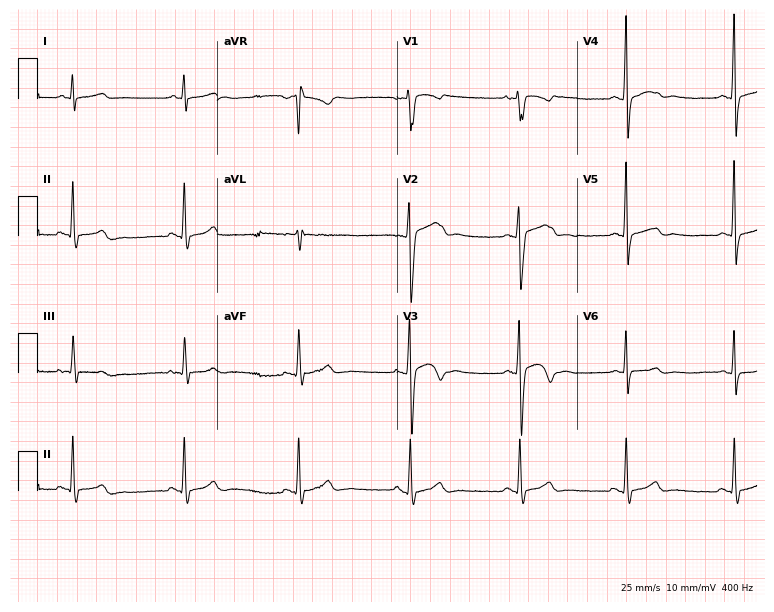
12-lead ECG (7.3-second recording at 400 Hz) from an 18-year-old male. Screened for six findings — first-degree AV block, right bundle branch block, left bundle branch block, sinus bradycardia, atrial fibrillation, sinus tachycardia — none is recorded.